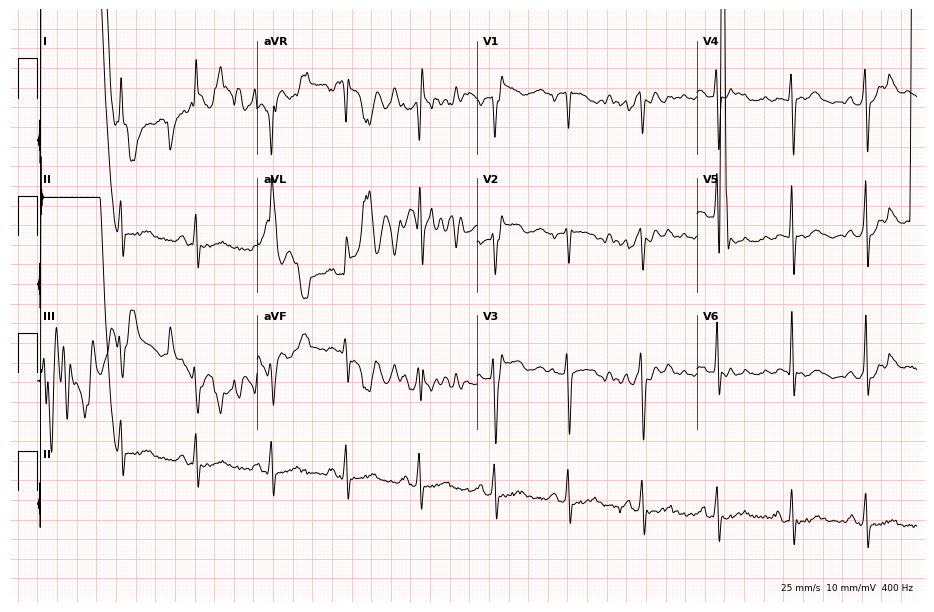
ECG (9-second recording at 400 Hz) — a female patient, 76 years old. Screened for six findings — first-degree AV block, right bundle branch block, left bundle branch block, sinus bradycardia, atrial fibrillation, sinus tachycardia — none is recorded.